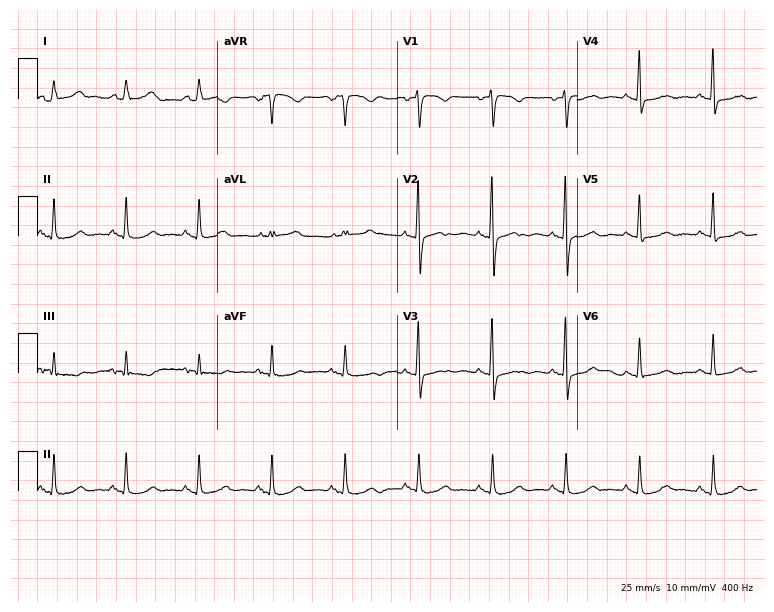
12-lead ECG (7.3-second recording at 400 Hz) from a 69-year-old female patient. Screened for six findings — first-degree AV block, right bundle branch block, left bundle branch block, sinus bradycardia, atrial fibrillation, sinus tachycardia — none is recorded.